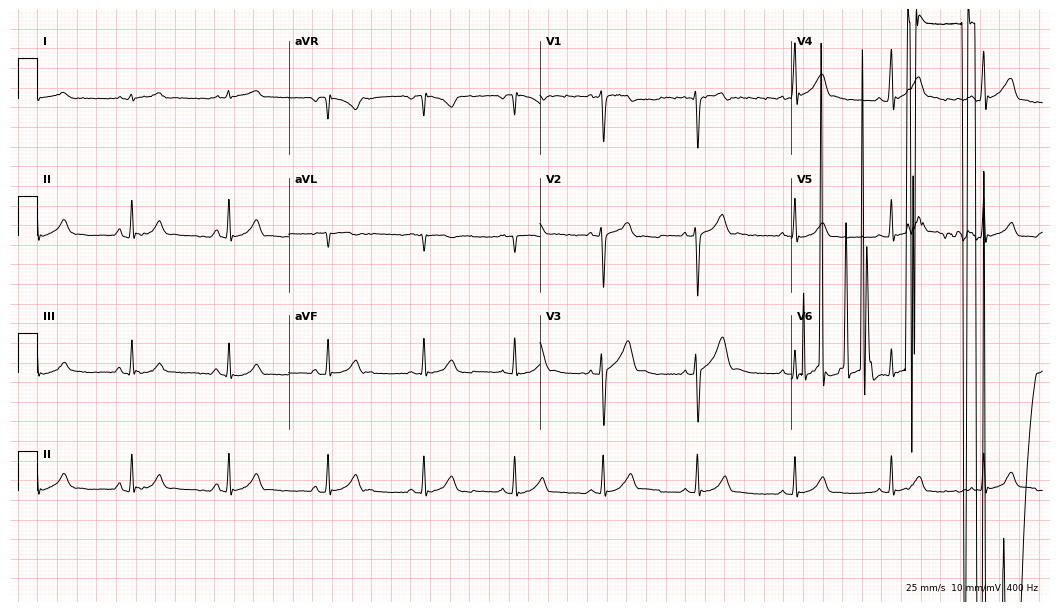
Resting 12-lead electrocardiogram. Patient: a man, 25 years old. None of these six findings is recorded: first-degree AV block, right bundle branch block, left bundle branch block, sinus bradycardia, atrial fibrillation, sinus tachycardia.